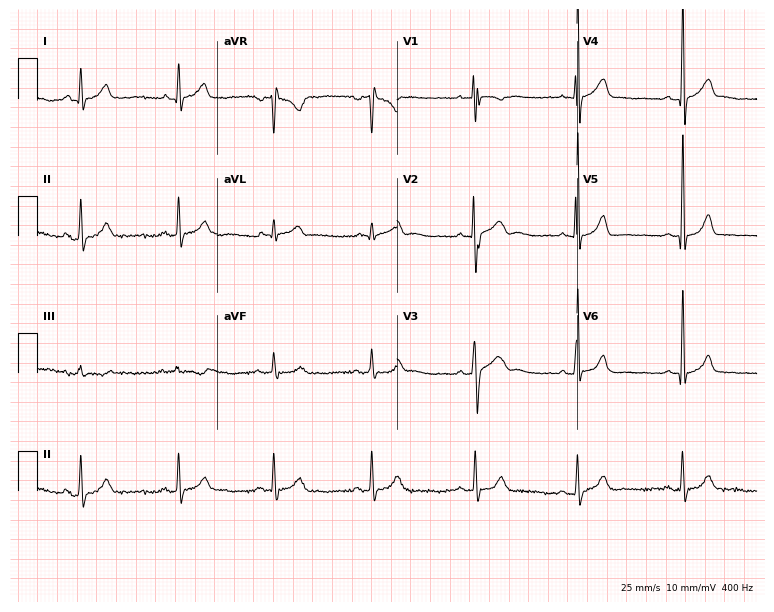
ECG — a 20-year-old male patient. Screened for six findings — first-degree AV block, right bundle branch block, left bundle branch block, sinus bradycardia, atrial fibrillation, sinus tachycardia — none is recorded. Findings outside these six are not listed.